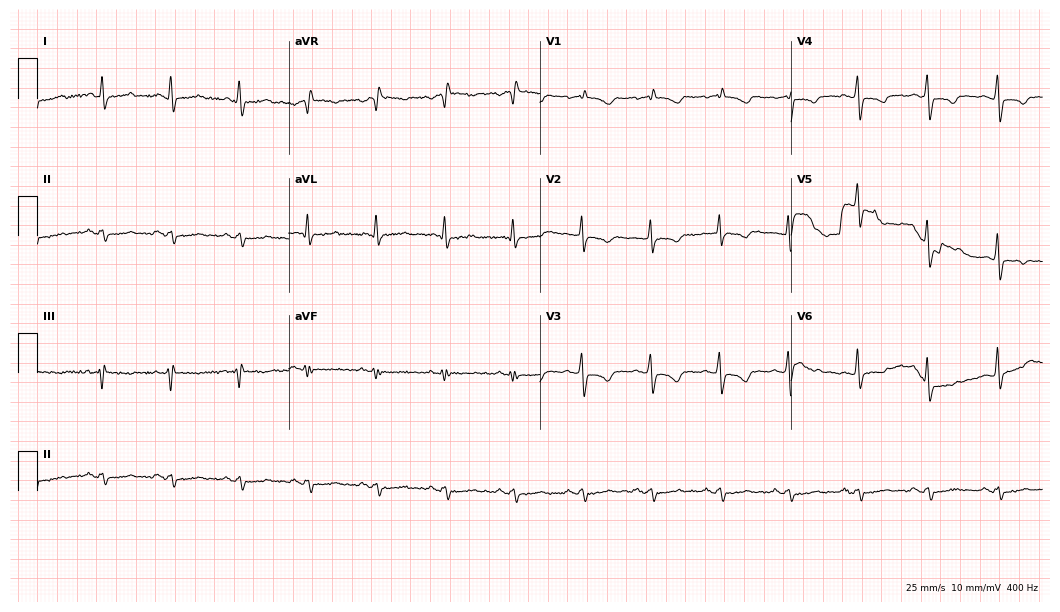
Resting 12-lead electrocardiogram (10.2-second recording at 400 Hz). Patient: a woman, 81 years old. None of these six findings is recorded: first-degree AV block, right bundle branch block, left bundle branch block, sinus bradycardia, atrial fibrillation, sinus tachycardia. Only these six findings were labelled.